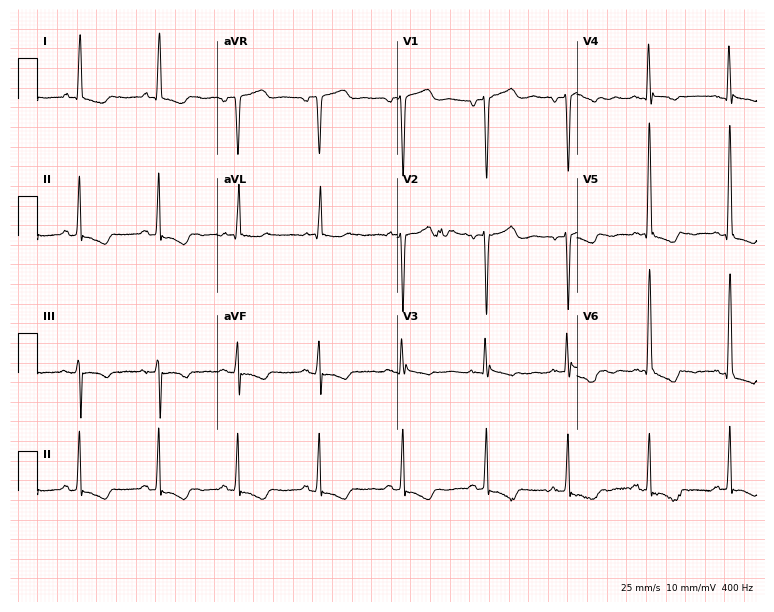
Standard 12-lead ECG recorded from an 82-year-old female patient. None of these six findings is recorded: first-degree AV block, right bundle branch block (RBBB), left bundle branch block (LBBB), sinus bradycardia, atrial fibrillation (AF), sinus tachycardia.